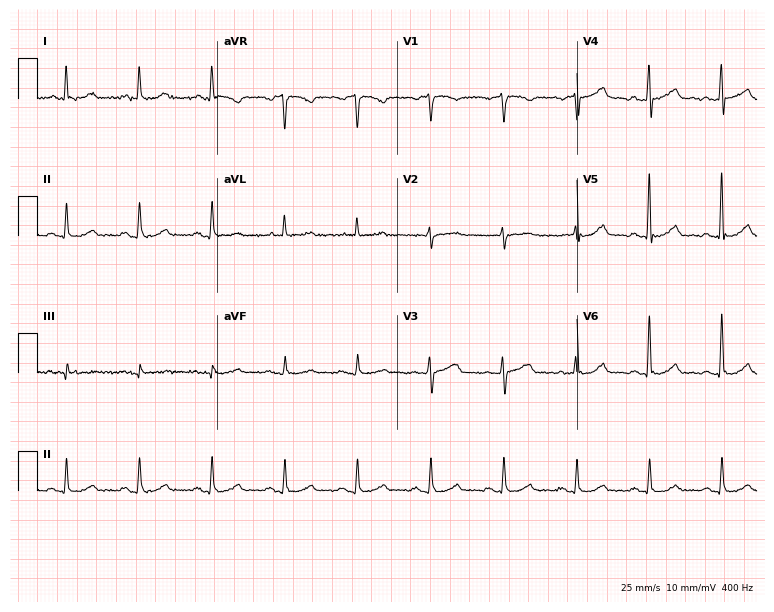
Standard 12-lead ECG recorded from a 71-year-old man. None of these six findings is recorded: first-degree AV block, right bundle branch block, left bundle branch block, sinus bradycardia, atrial fibrillation, sinus tachycardia.